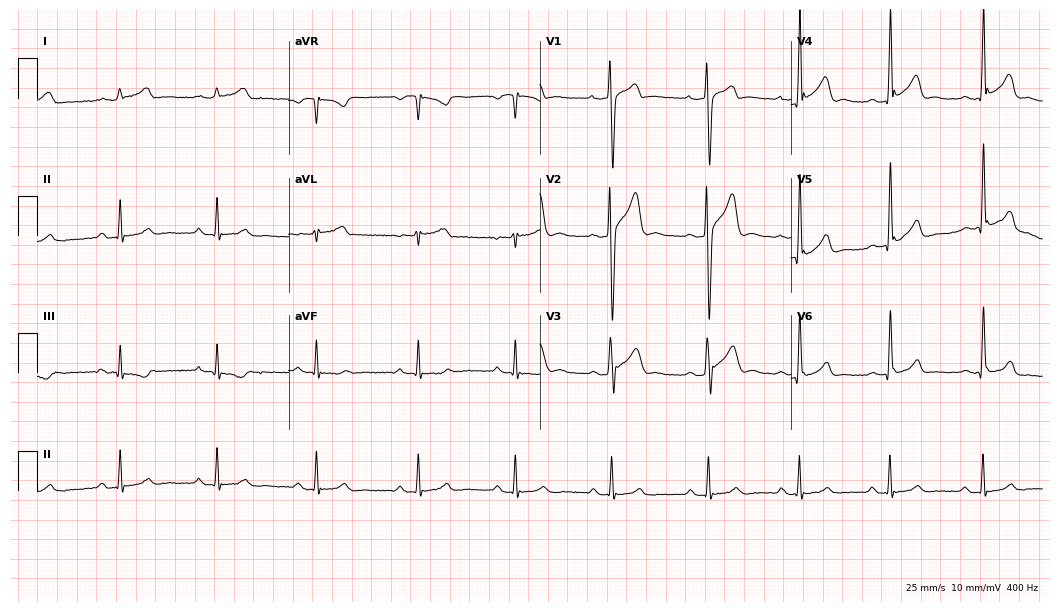
Resting 12-lead electrocardiogram (10.2-second recording at 400 Hz). Patient: a male, 36 years old. Read as a normal ECG.